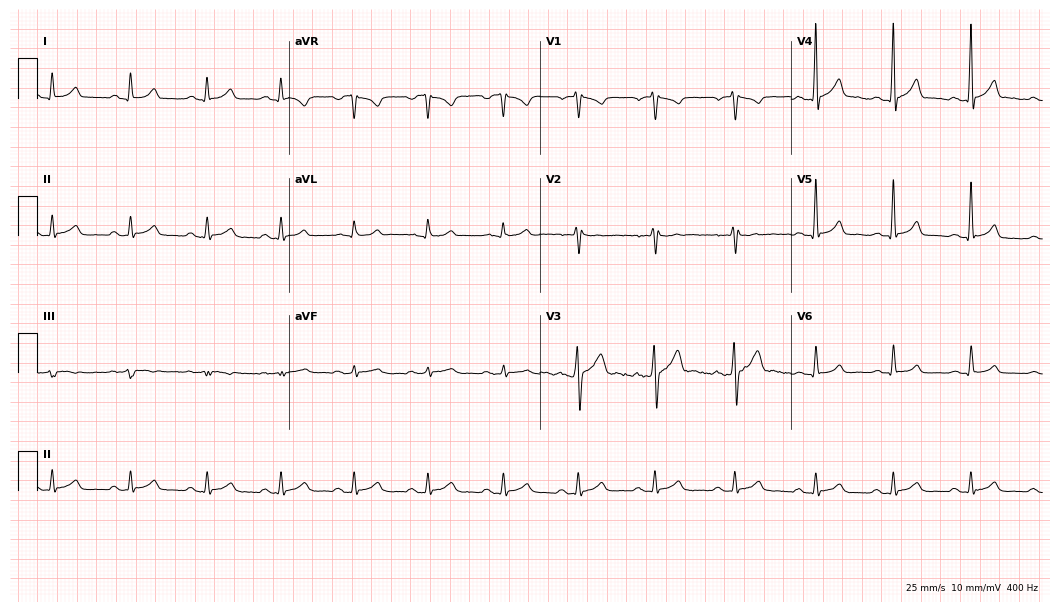
ECG (10.2-second recording at 400 Hz) — a 34-year-old male. Labelled as a normal ECG.